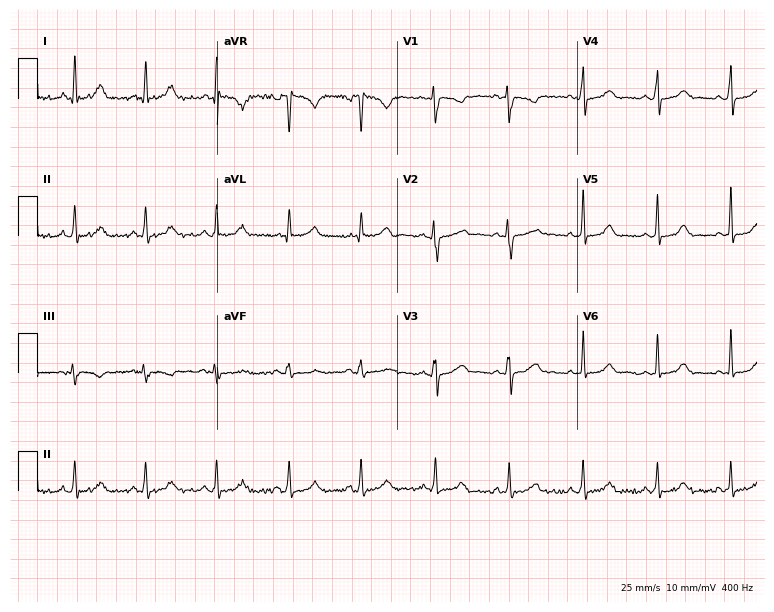
12-lead ECG from a 32-year-old female patient. Recorded interpretation: within normal limits.